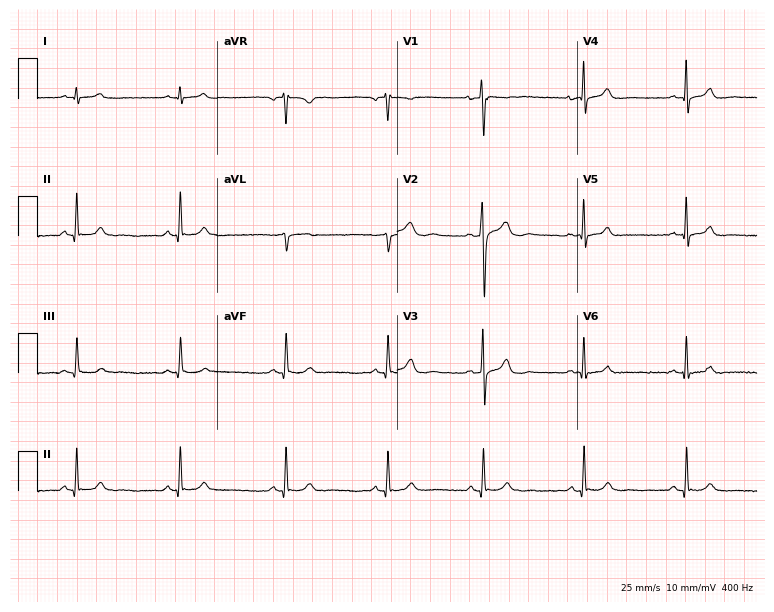
12-lead ECG (7.3-second recording at 400 Hz) from a male patient, 25 years old. Labelled as a normal ECG.